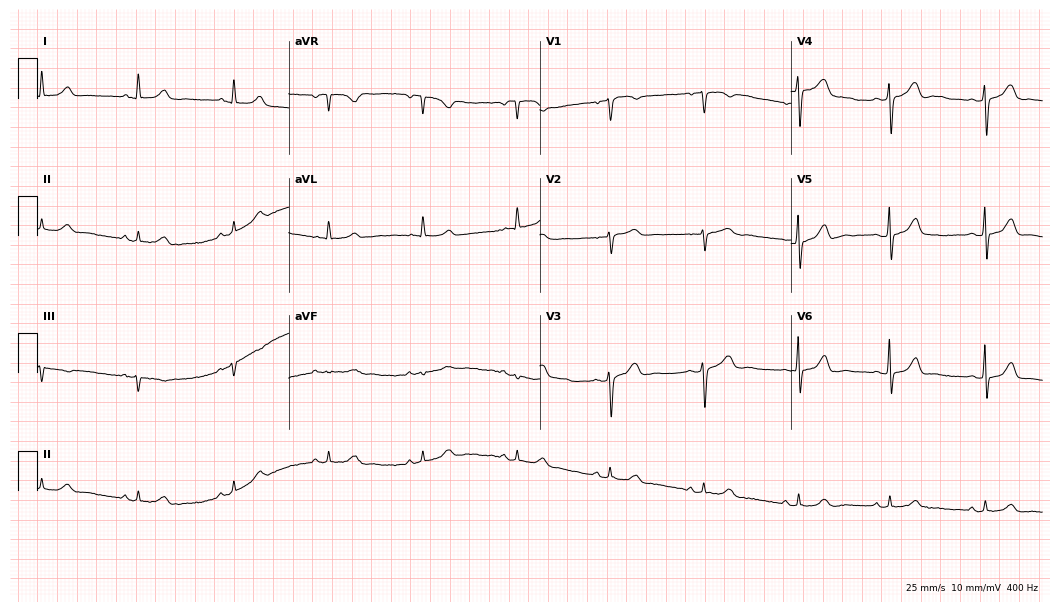
Standard 12-lead ECG recorded from a 62-year-old female patient. Read as a normal ECG.